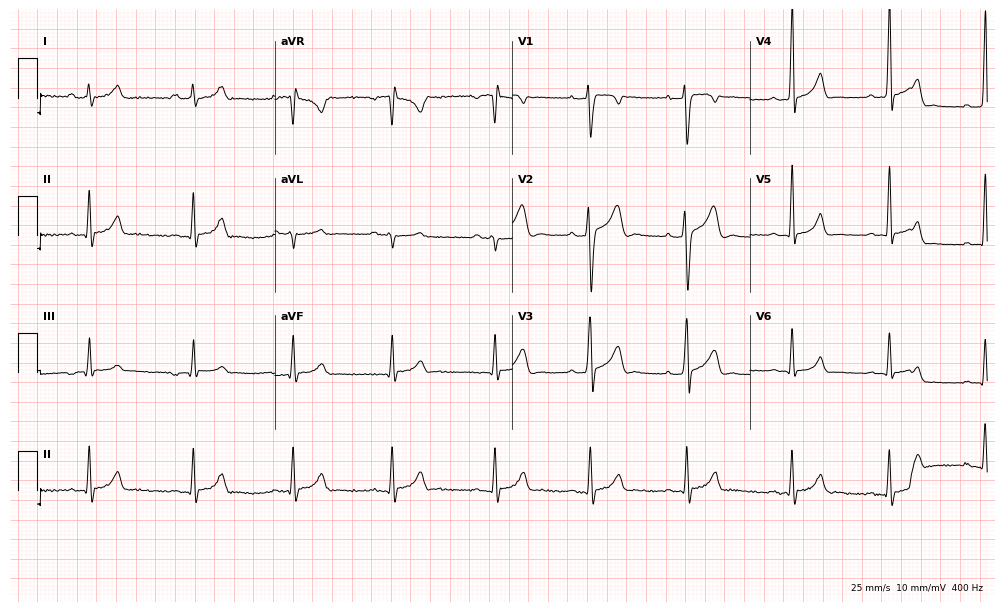
Electrocardiogram (9.7-second recording at 400 Hz), a male patient, 17 years old. Overall reading on record: normal ECG.